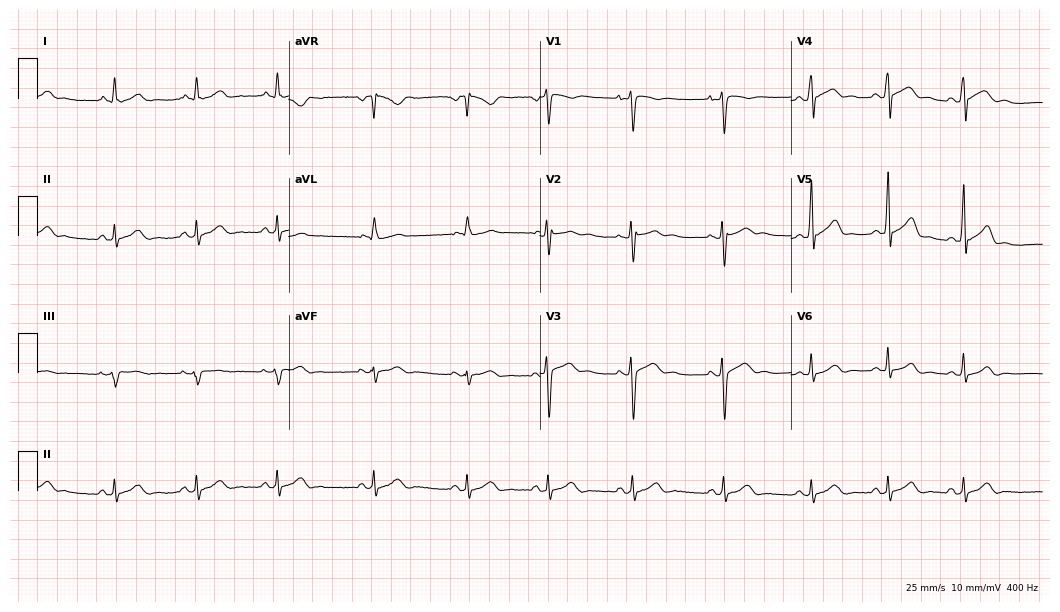
12-lead ECG from a 24-year-old man. Labelled as a normal ECG.